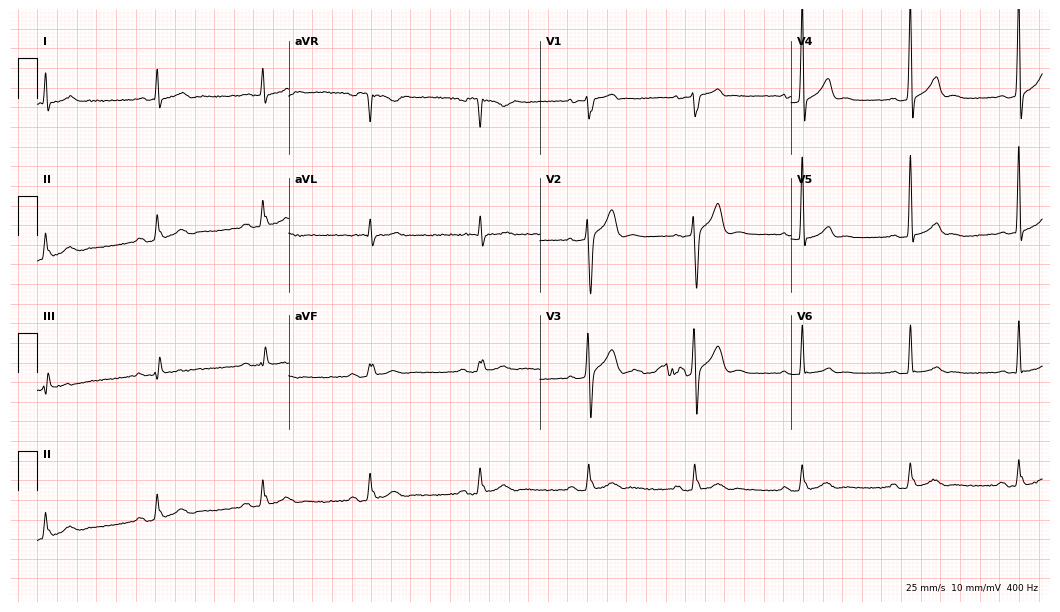
12-lead ECG from a man, 39 years old (10.2-second recording at 400 Hz). Recorded interpretation: within normal limits.